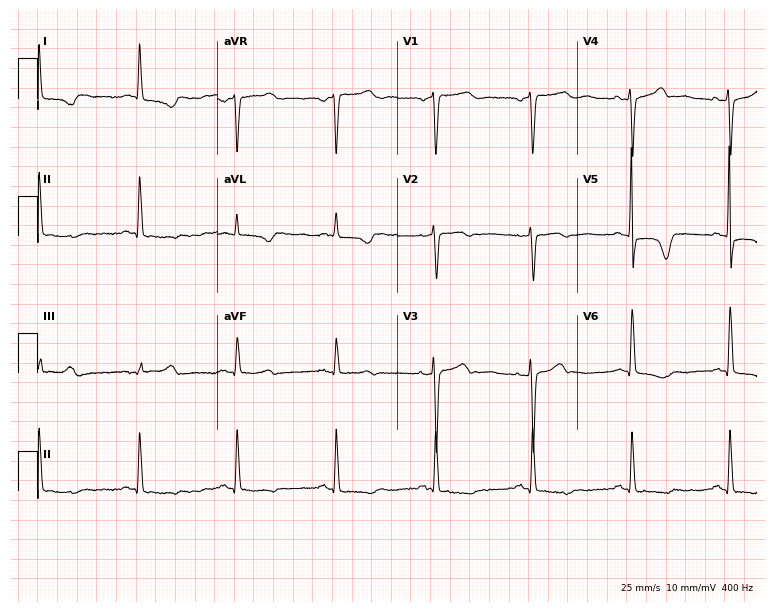
Standard 12-lead ECG recorded from a 73-year-old female. None of these six findings is recorded: first-degree AV block, right bundle branch block, left bundle branch block, sinus bradycardia, atrial fibrillation, sinus tachycardia.